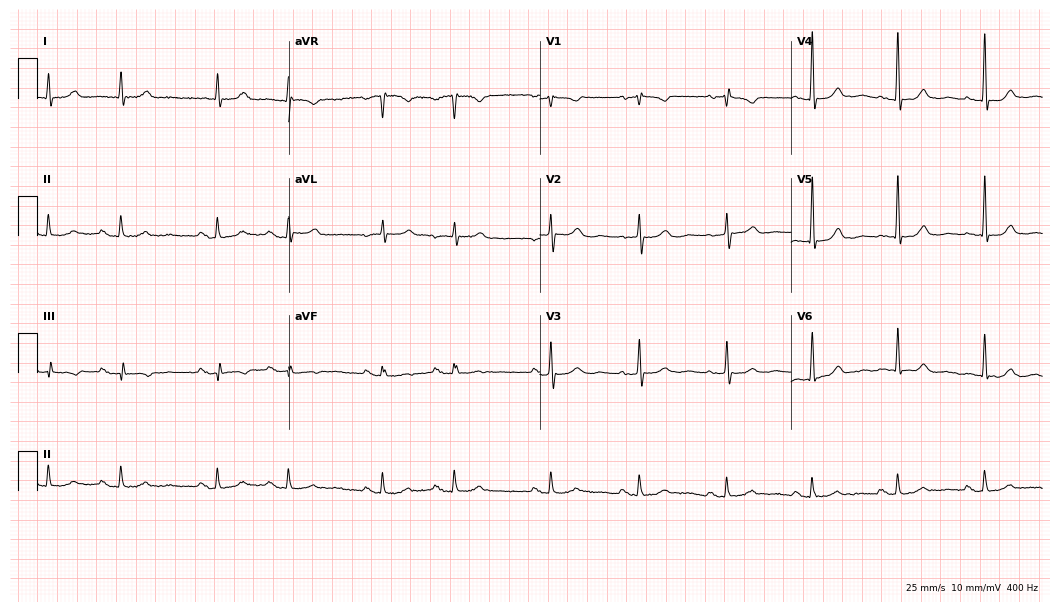
Electrocardiogram, a woman, 84 years old. Of the six screened findings (first-degree AV block, right bundle branch block, left bundle branch block, sinus bradycardia, atrial fibrillation, sinus tachycardia), none is recorded. Other findings, if any, are not listed.